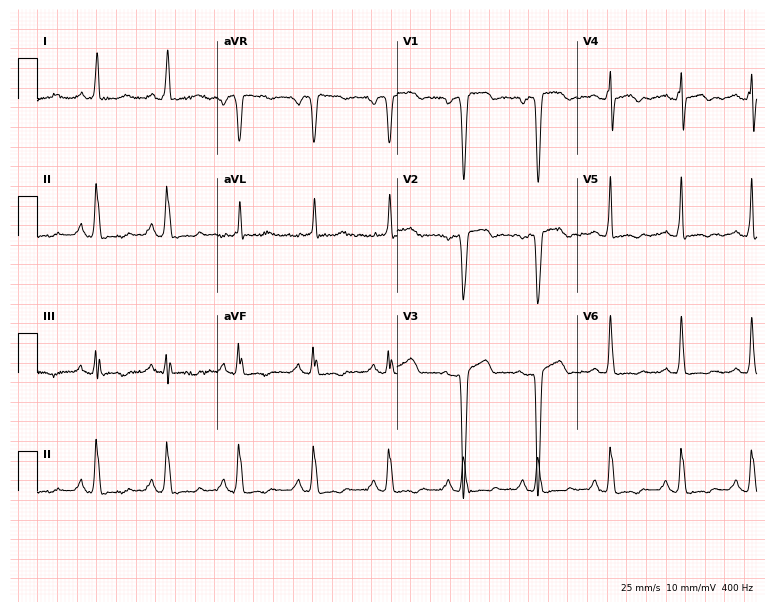
Resting 12-lead electrocardiogram. Patient: a woman, 48 years old. None of these six findings is recorded: first-degree AV block, right bundle branch block (RBBB), left bundle branch block (LBBB), sinus bradycardia, atrial fibrillation (AF), sinus tachycardia.